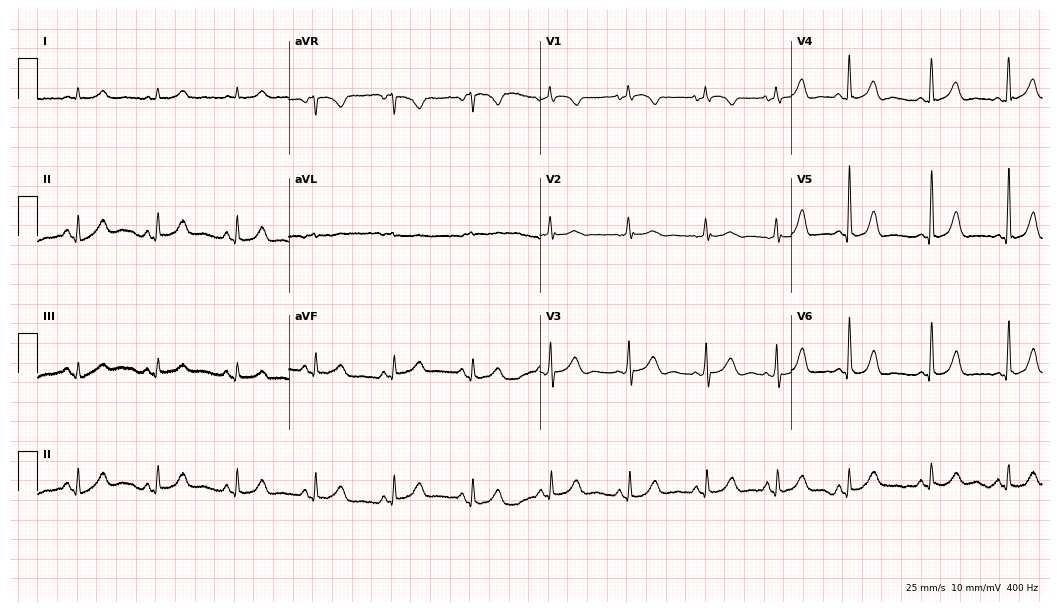
12-lead ECG from an 81-year-old female patient. Recorded interpretation: within normal limits.